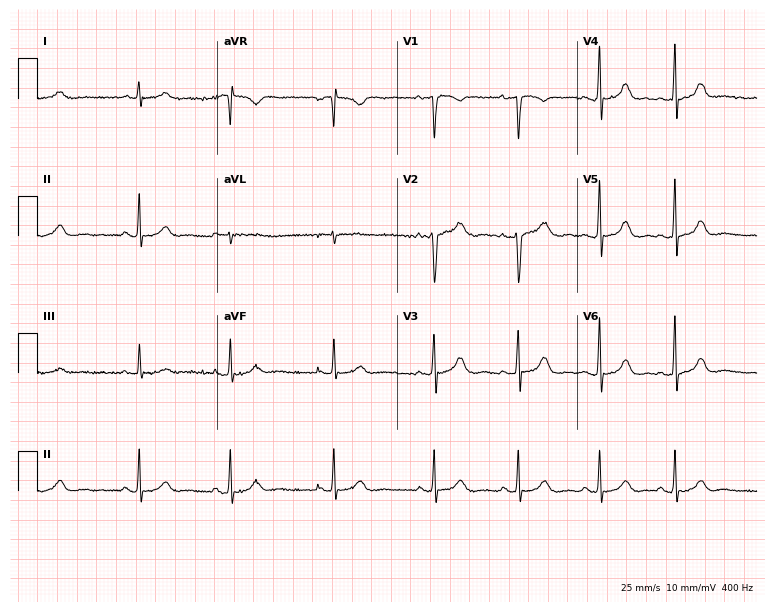
12-lead ECG from a 17-year-old female patient. Recorded interpretation: within normal limits.